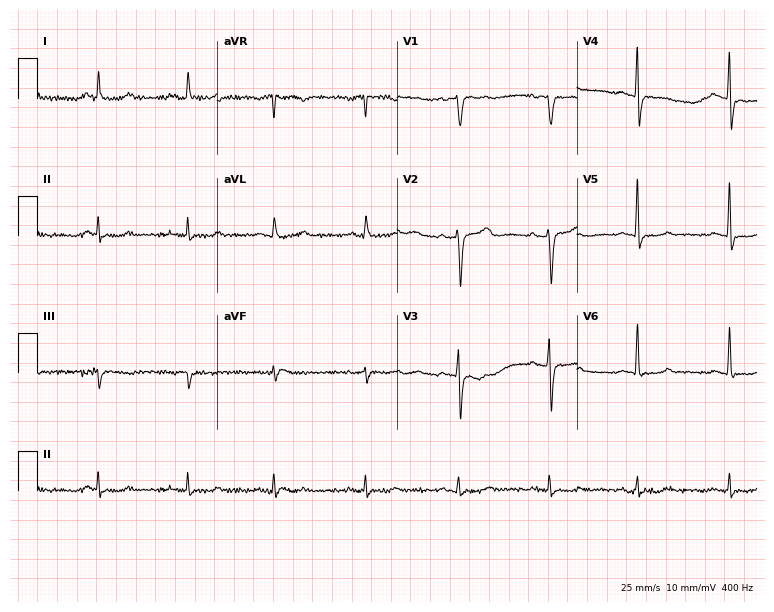
Resting 12-lead electrocardiogram (7.3-second recording at 400 Hz). Patient: a 76-year-old man. None of these six findings is recorded: first-degree AV block, right bundle branch block, left bundle branch block, sinus bradycardia, atrial fibrillation, sinus tachycardia.